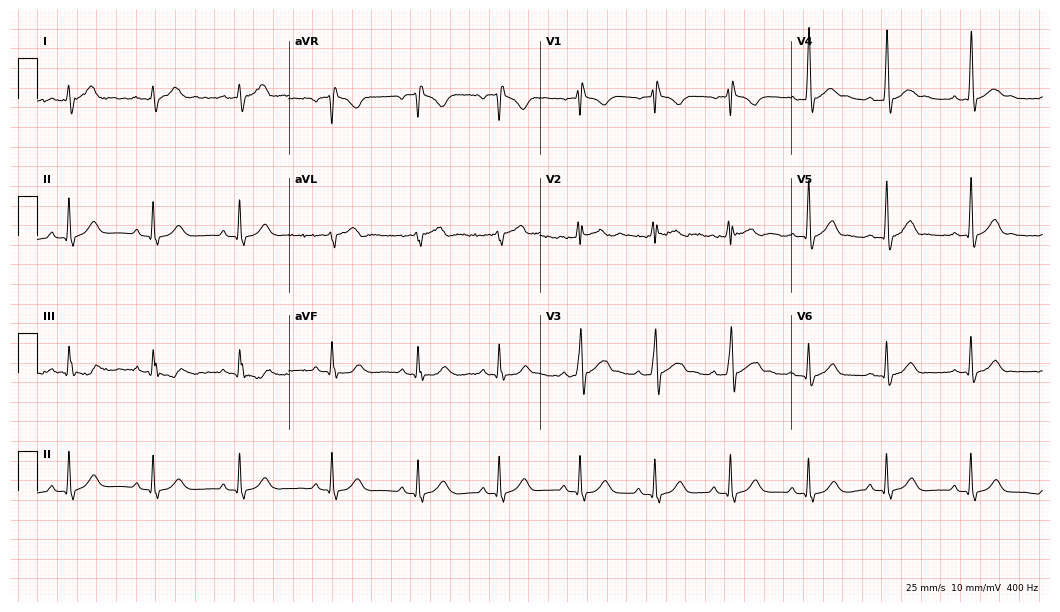
ECG (10.2-second recording at 400 Hz) — a man, 26 years old. Screened for six findings — first-degree AV block, right bundle branch block, left bundle branch block, sinus bradycardia, atrial fibrillation, sinus tachycardia — none is recorded. Findings outside these six are not listed.